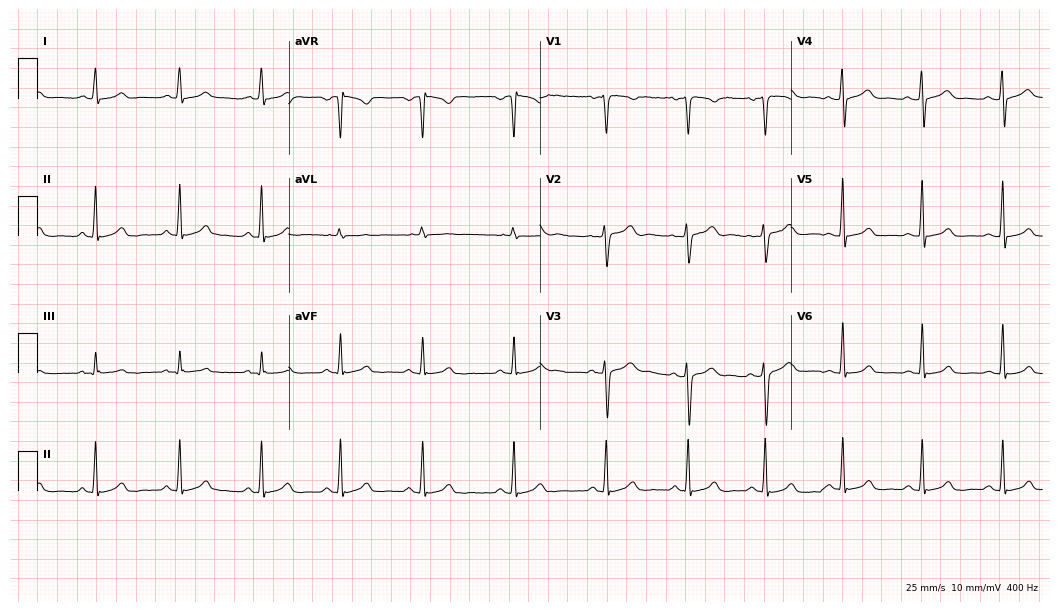
ECG (10.2-second recording at 400 Hz) — a 22-year-old female patient. Labelled as a normal ECG.